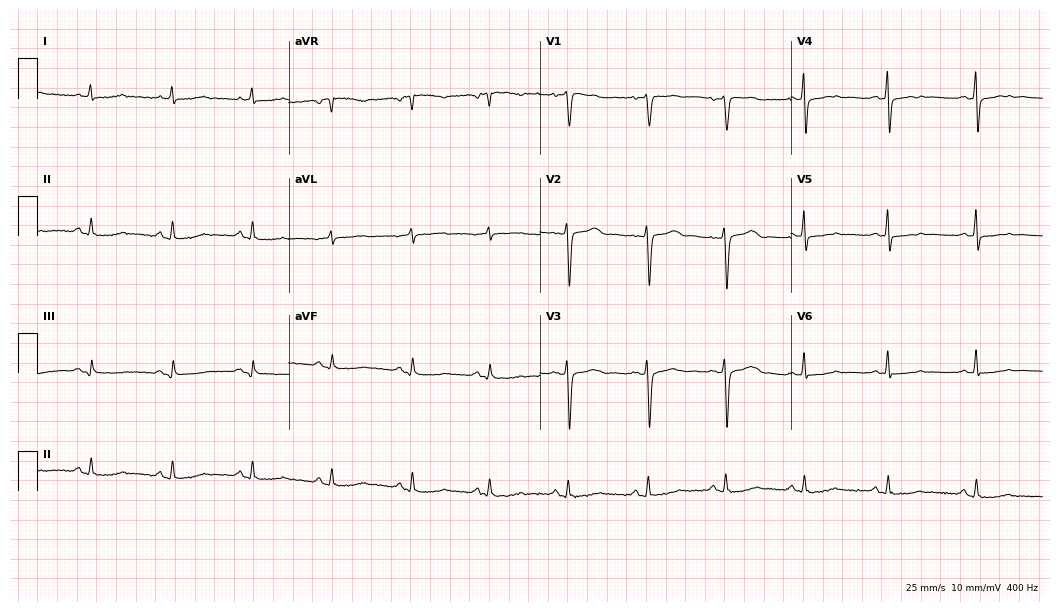
12-lead ECG (10.2-second recording at 400 Hz) from a 61-year-old female. Screened for six findings — first-degree AV block, right bundle branch block, left bundle branch block, sinus bradycardia, atrial fibrillation, sinus tachycardia — none is recorded. Only these six findings were labelled.